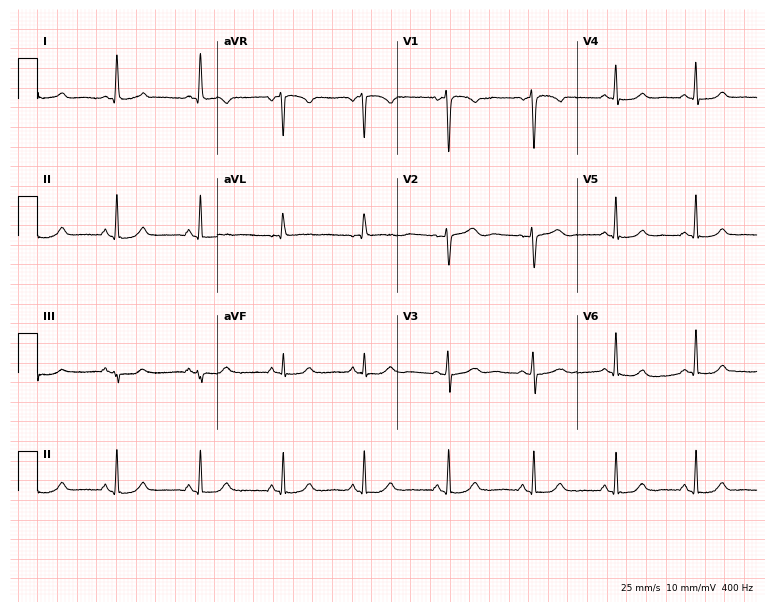
12-lead ECG from a female, 49 years old. Screened for six findings — first-degree AV block, right bundle branch block (RBBB), left bundle branch block (LBBB), sinus bradycardia, atrial fibrillation (AF), sinus tachycardia — none is recorded.